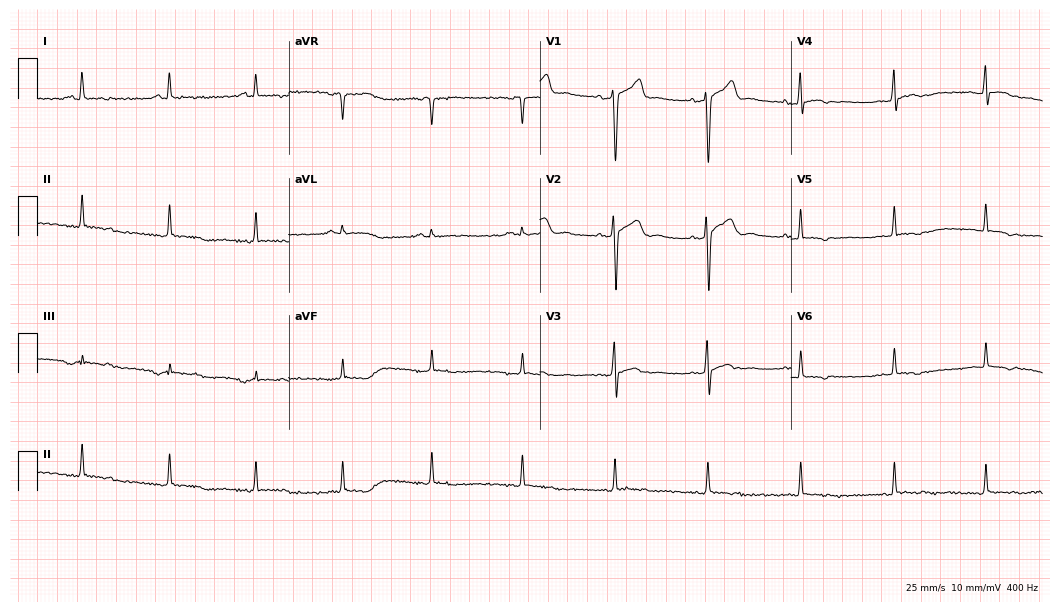
Resting 12-lead electrocardiogram. Patient: a male, 28 years old. None of these six findings is recorded: first-degree AV block, right bundle branch block (RBBB), left bundle branch block (LBBB), sinus bradycardia, atrial fibrillation (AF), sinus tachycardia. Only these six findings were labelled.